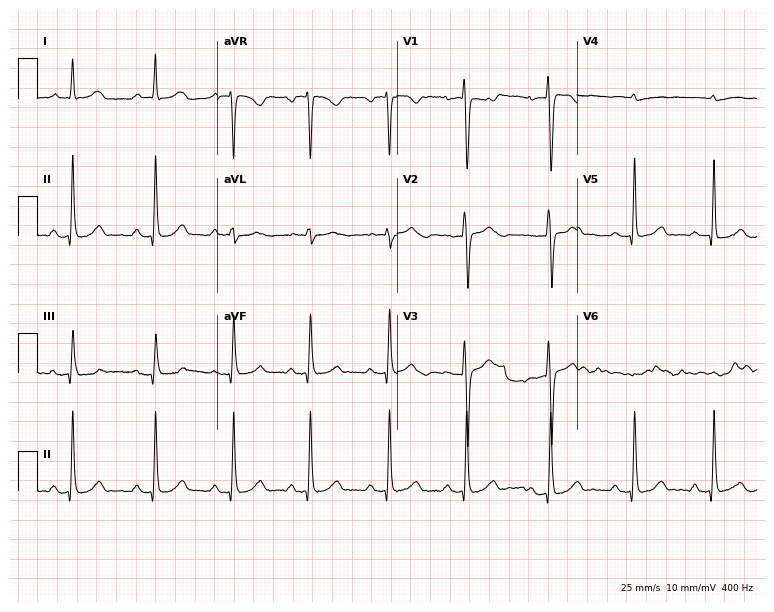
Resting 12-lead electrocardiogram (7.3-second recording at 400 Hz). Patient: a woman, 32 years old. Read as a normal ECG.